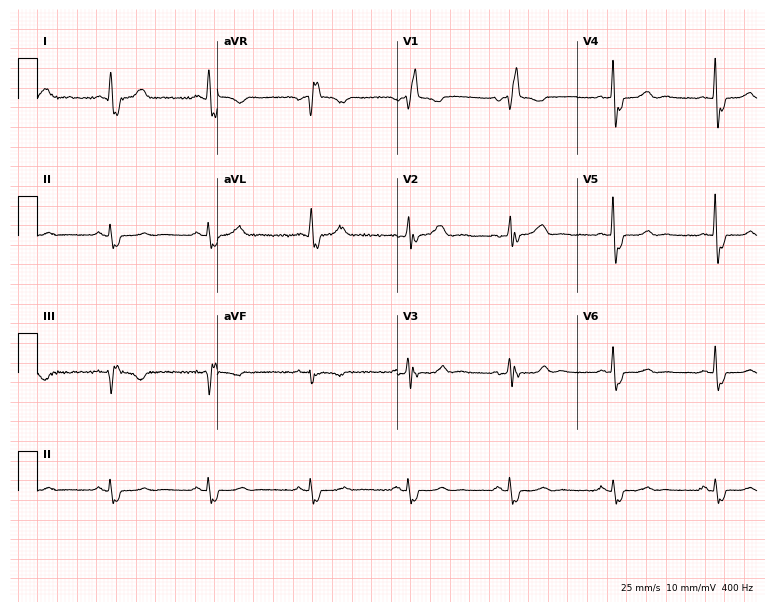
ECG — a female patient, 68 years old. Screened for six findings — first-degree AV block, right bundle branch block, left bundle branch block, sinus bradycardia, atrial fibrillation, sinus tachycardia — none is recorded.